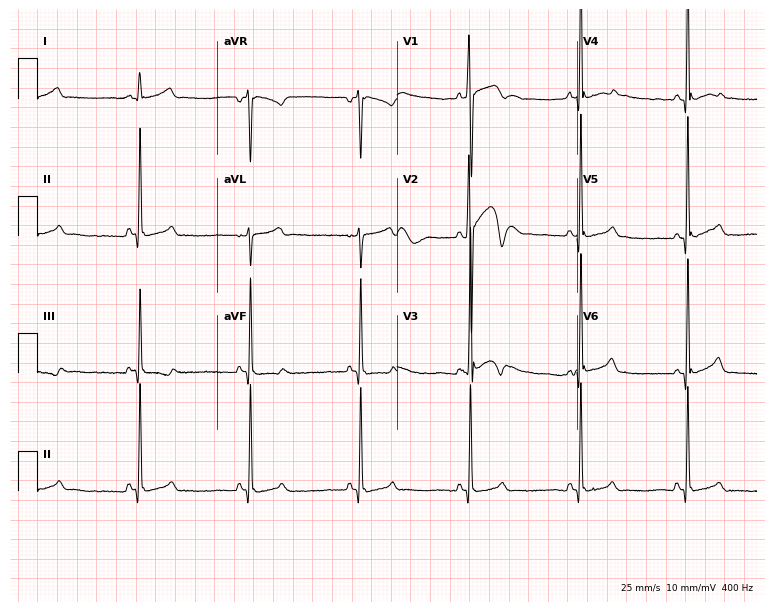
Electrocardiogram, a male patient, 17 years old. Overall reading on record: normal ECG.